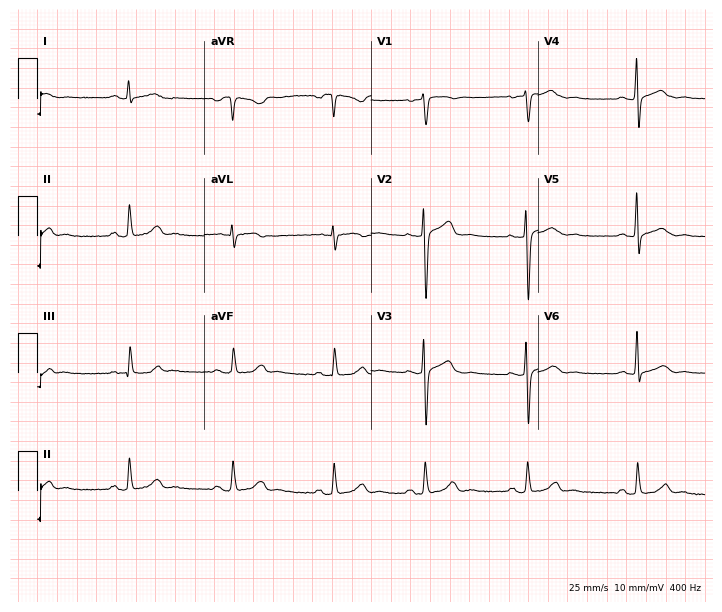
ECG — a 35-year-old female. Screened for six findings — first-degree AV block, right bundle branch block (RBBB), left bundle branch block (LBBB), sinus bradycardia, atrial fibrillation (AF), sinus tachycardia — none is recorded.